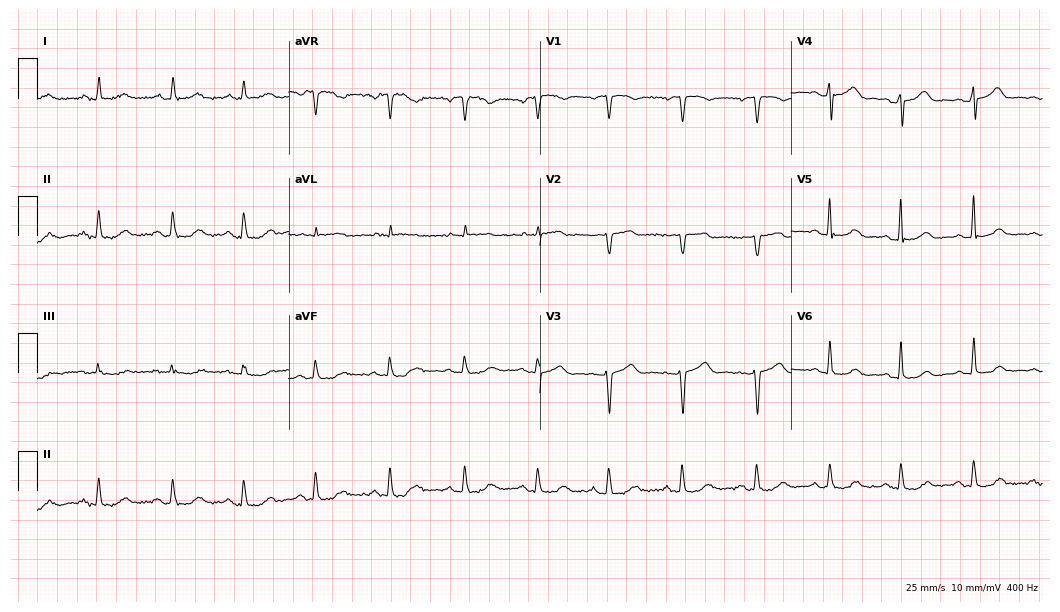
Standard 12-lead ECG recorded from a 67-year-old woman. Read as a normal ECG.